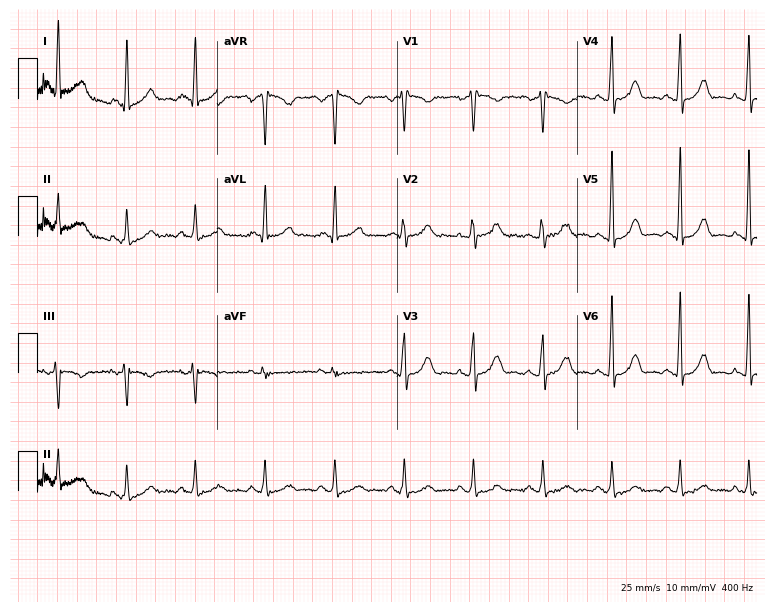
Resting 12-lead electrocardiogram. Patient: a 60-year-old female. None of these six findings is recorded: first-degree AV block, right bundle branch block (RBBB), left bundle branch block (LBBB), sinus bradycardia, atrial fibrillation (AF), sinus tachycardia. Only these six findings were labelled.